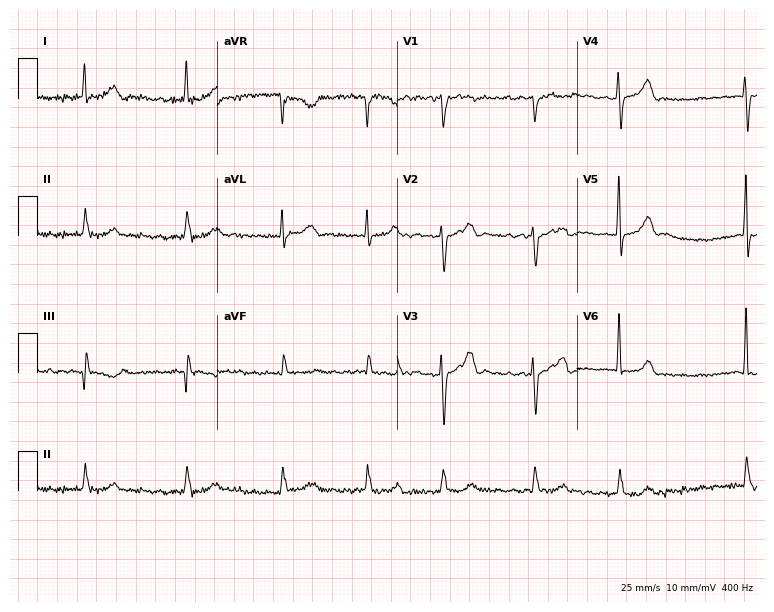
Resting 12-lead electrocardiogram (7.3-second recording at 400 Hz). Patient: a man, 67 years old. Read as a normal ECG.